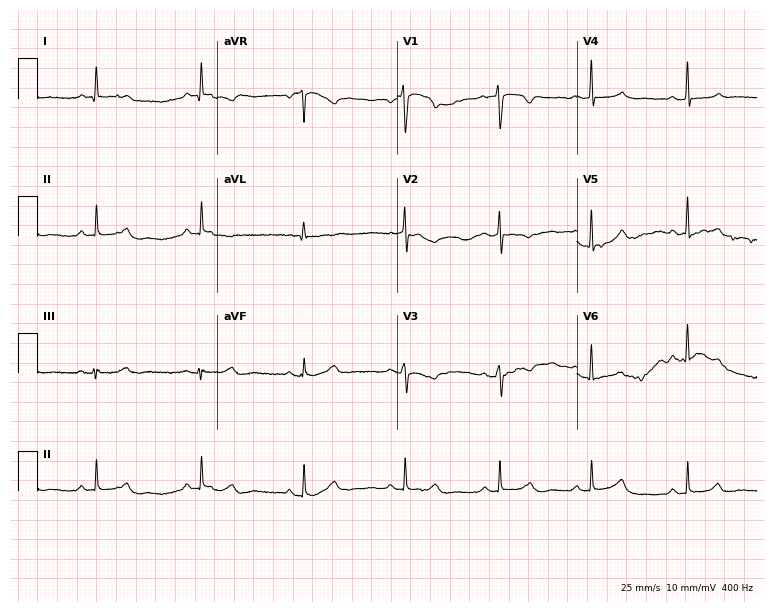
Resting 12-lead electrocardiogram (7.3-second recording at 400 Hz). Patient: a 68-year-old woman. None of these six findings is recorded: first-degree AV block, right bundle branch block, left bundle branch block, sinus bradycardia, atrial fibrillation, sinus tachycardia.